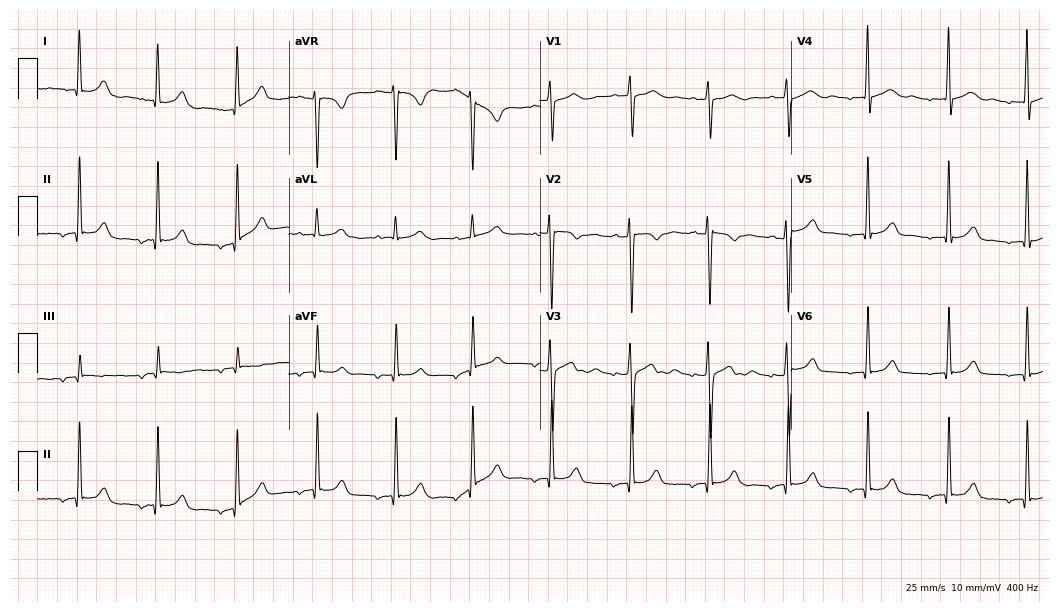
12-lead ECG from an 18-year-old female. No first-degree AV block, right bundle branch block, left bundle branch block, sinus bradycardia, atrial fibrillation or sinus tachycardia recorded for this tracing.